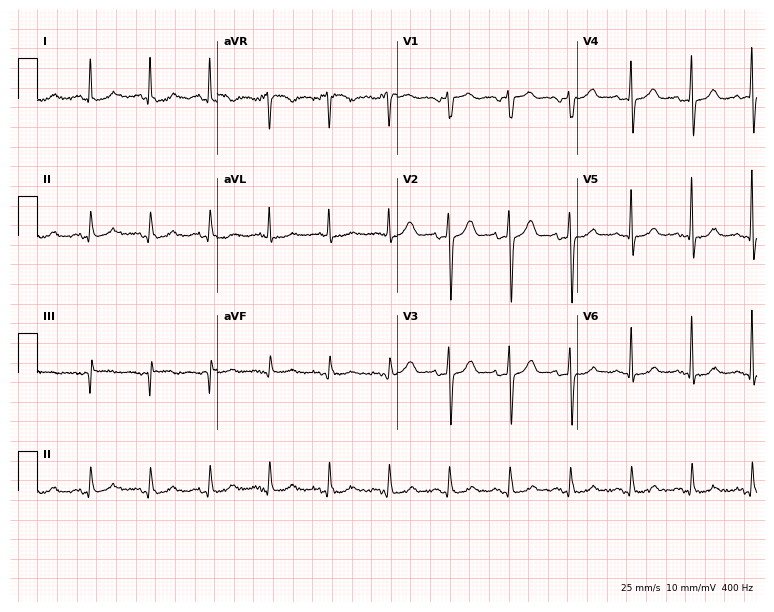
Electrocardiogram, a 70-year-old man. Overall reading on record: normal ECG.